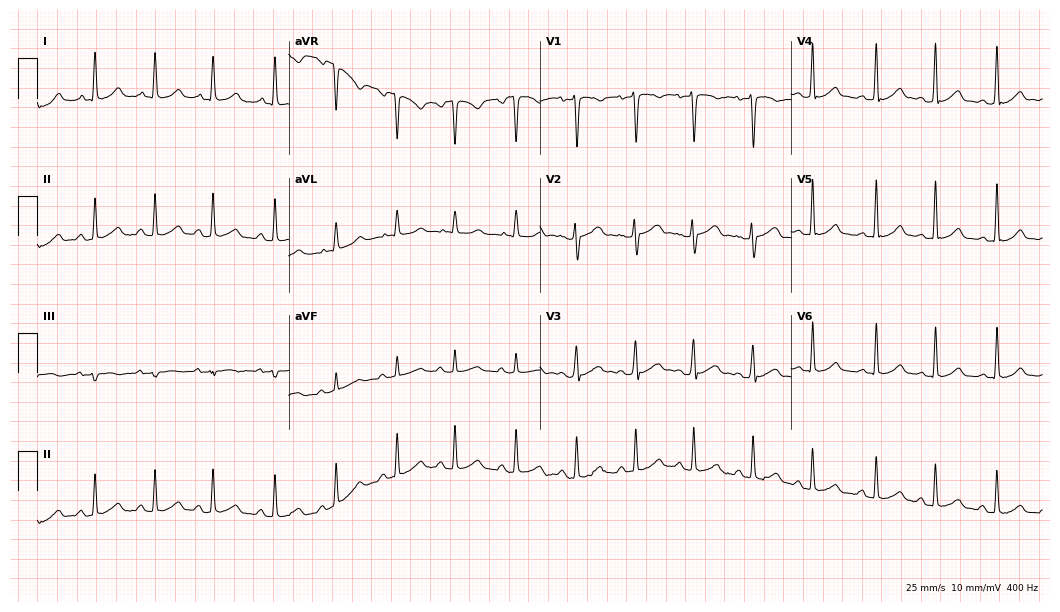
ECG — a female, 21 years old. Labelled as a normal ECG.